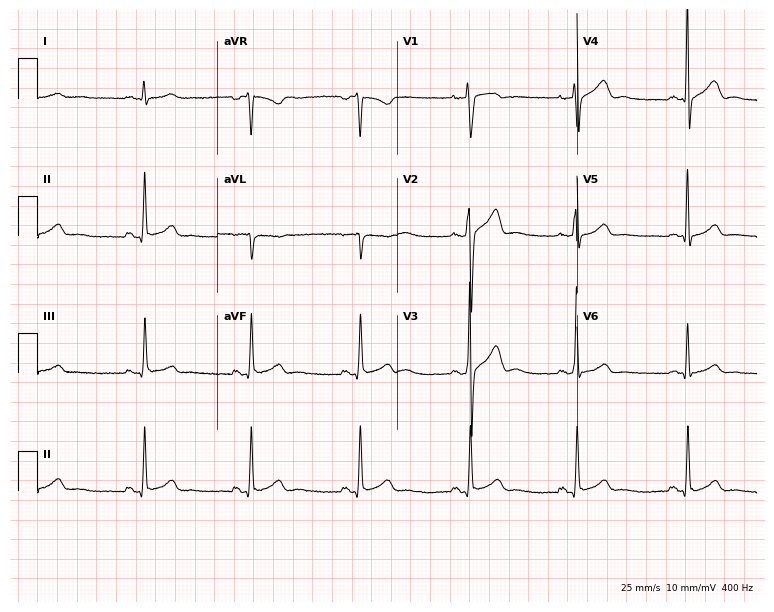
Electrocardiogram, a male patient, 45 years old. Of the six screened findings (first-degree AV block, right bundle branch block (RBBB), left bundle branch block (LBBB), sinus bradycardia, atrial fibrillation (AF), sinus tachycardia), none is recorded. Only these six findings were labelled.